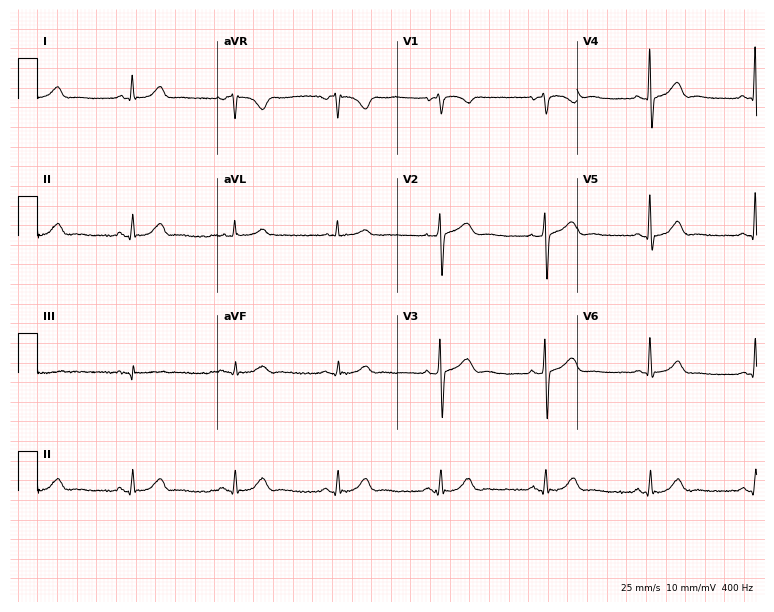
Resting 12-lead electrocardiogram. Patient: a man, 68 years old. None of these six findings is recorded: first-degree AV block, right bundle branch block, left bundle branch block, sinus bradycardia, atrial fibrillation, sinus tachycardia.